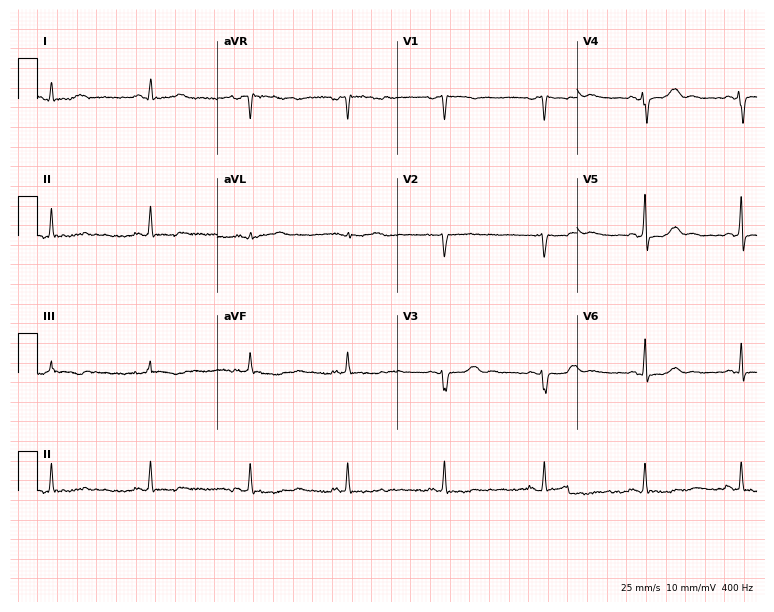
Resting 12-lead electrocardiogram. Patient: a woman, 33 years old. None of these six findings is recorded: first-degree AV block, right bundle branch block, left bundle branch block, sinus bradycardia, atrial fibrillation, sinus tachycardia.